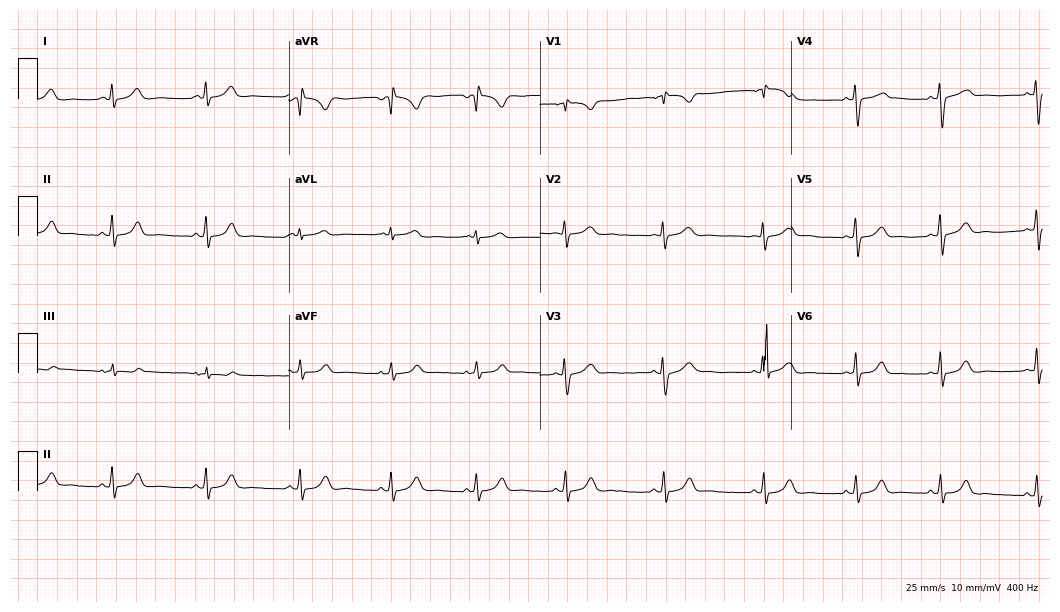
ECG — a 23-year-old female. Screened for six findings — first-degree AV block, right bundle branch block, left bundle branch block, sinus bradycardia, atrial fibrillation, sinus tachycardia — none is recorded.